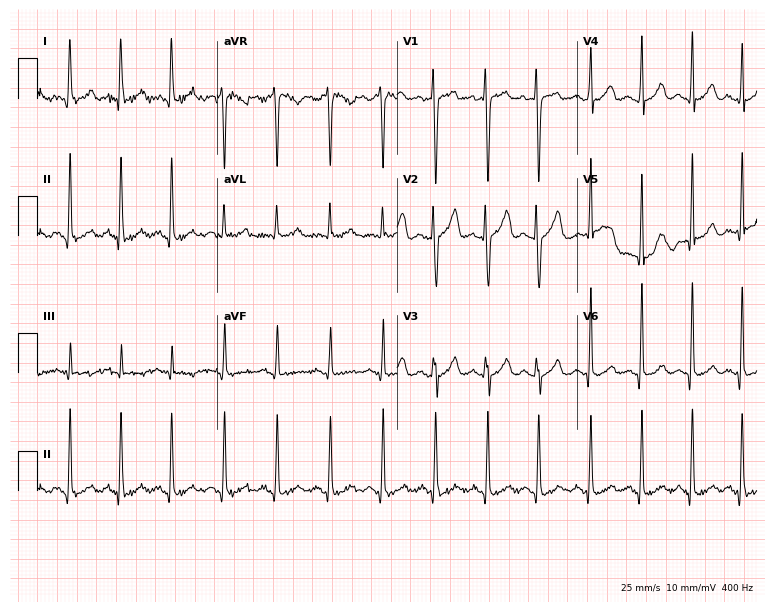
12-lead ECG (7.3-second recording at 400 Hz) from a woman, 20 years old. Screened for six findings — first-degree AV block, right bundle branch block, left bundle branch block, sinus bradycardia, atrial fibrillation, sinus tachycardia — none is recorded. Findings outside these six are not listed.